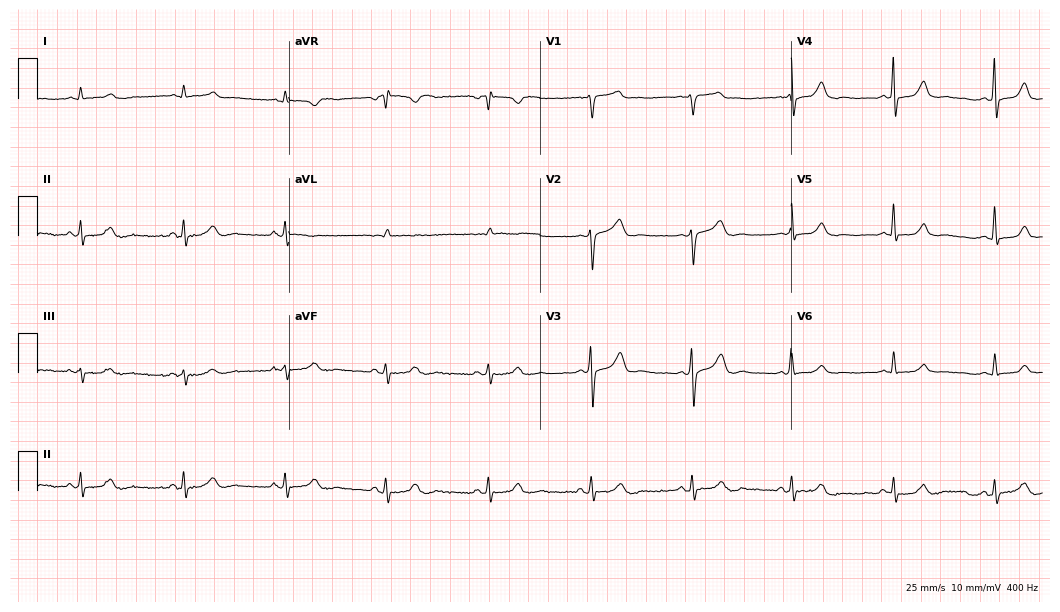
ECG (10.2-second recording at 400 Hz) — a 63-year-old male. Labelled as a normal ECG.